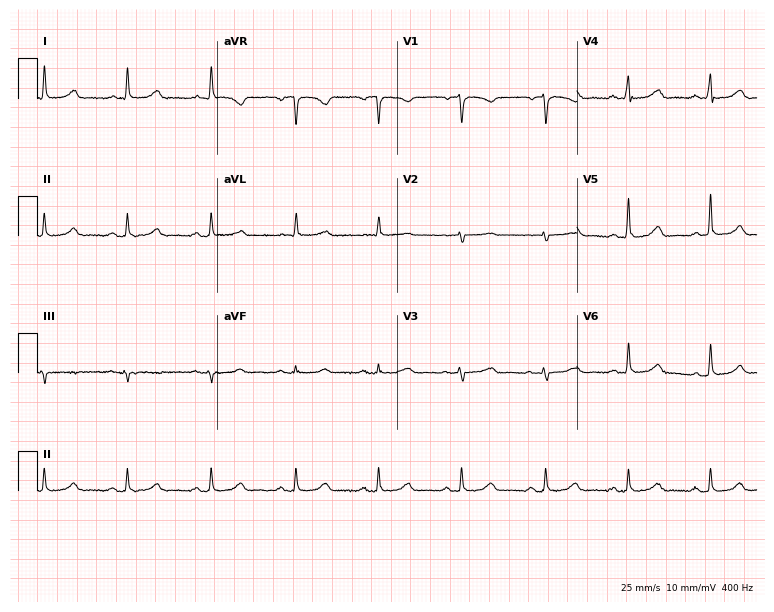
Electrocardiogram, a female patient, 72 years old. Of the six screened findings (first-degree AV block, right bundle branch block, left bundle branch block, sinus bradycardia, atrial fibrillation, sinus tachycardia), none is recorded.